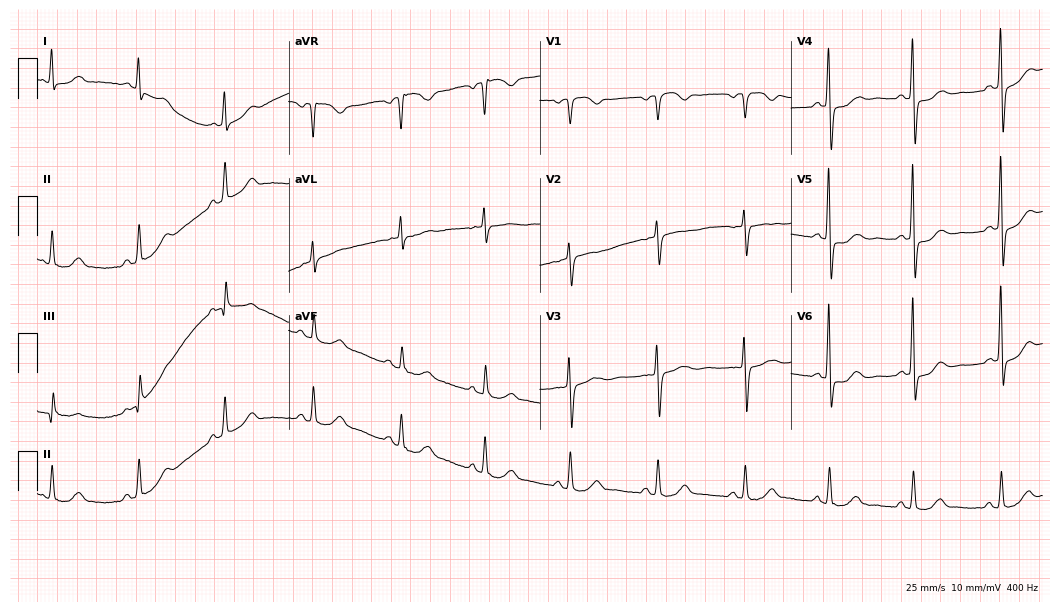
Electrocardiogram (10.2-second recording at 400 Hz), a female patient, 70 years old. Of the six screened findings (first-degree AV block, right bundle branch block (RBBB), left bundle branch block (LBBB), sinus bradycardia, atrial fibrillation (AF), sinus tachycardia), none is recorded. Findings outside these six are not listed.